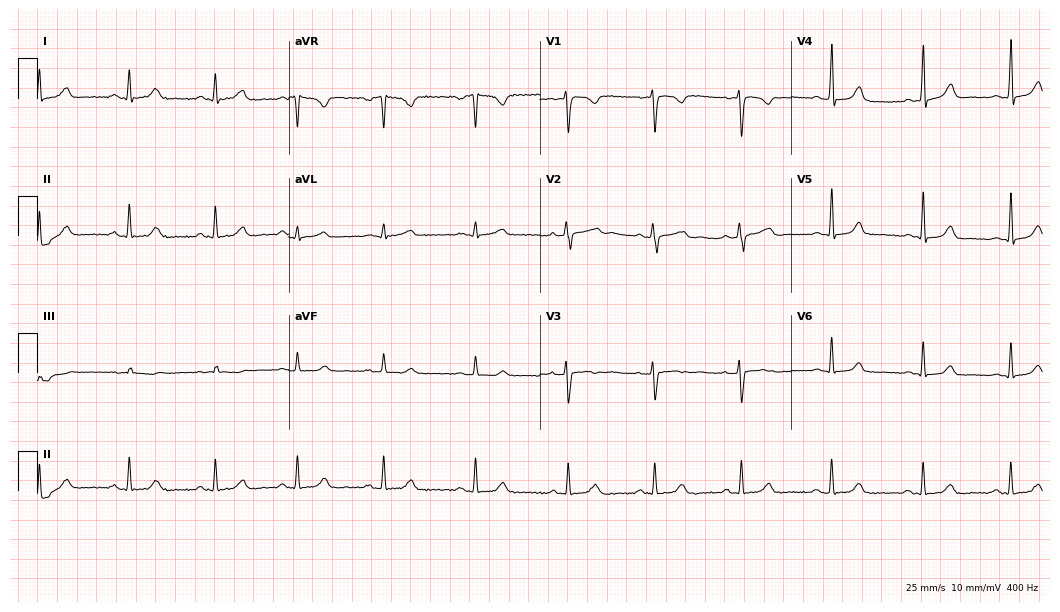
Standard 12-lead ECG recorded from a woman, 35 years old. Read as a normal ECG.